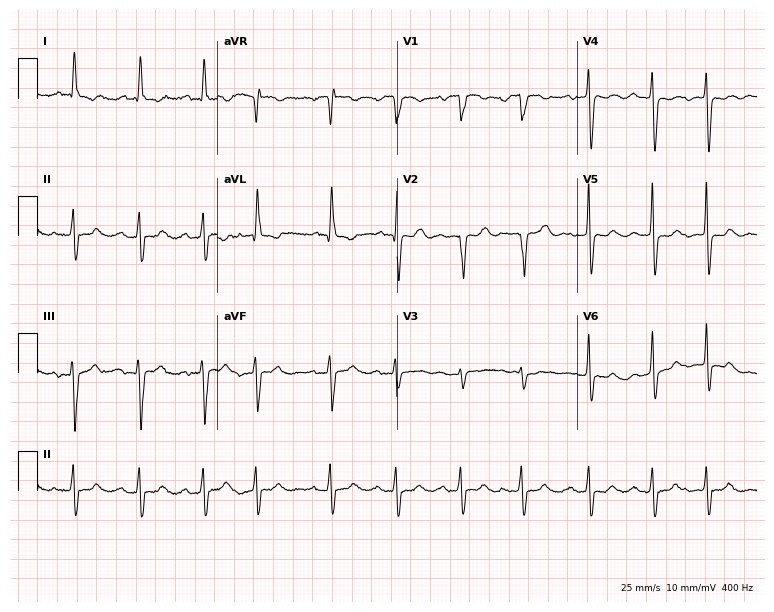
12-lead ECG (7.3-second recording at 400 Hz) from a 74-year-old female. Screened for six findings — first-degree AV block, right bundle branch block, left bundle branch block, sinus bradycardia, atrial fibrillation, sinus tachycardia — none is recorded. Other findings, if any, are not listed.